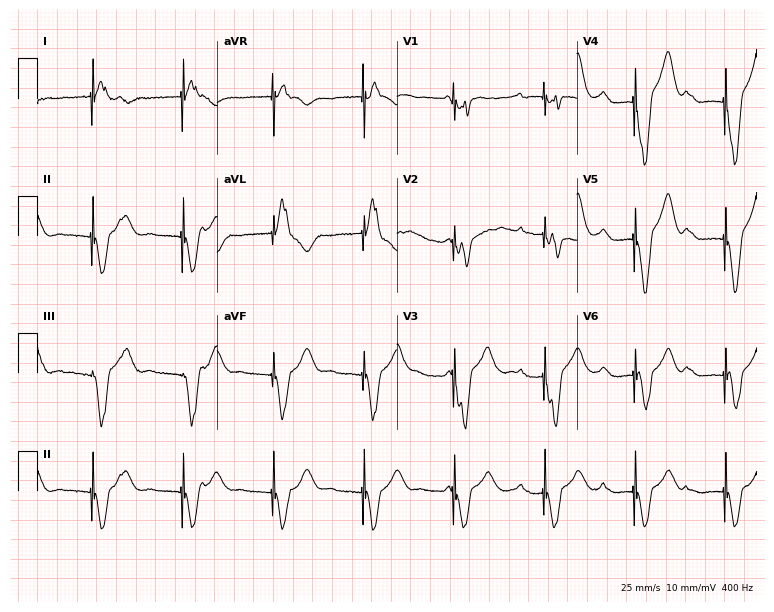
Standard 12-lead ECG recorded from a 70-year-old female. None of these six findings is recorded: first-degree AV block, right bundle branch block, left bundle branch block, sinus bradycardia, atrial fibrillation, sinus tachycardia. Only these six findings were labelled.